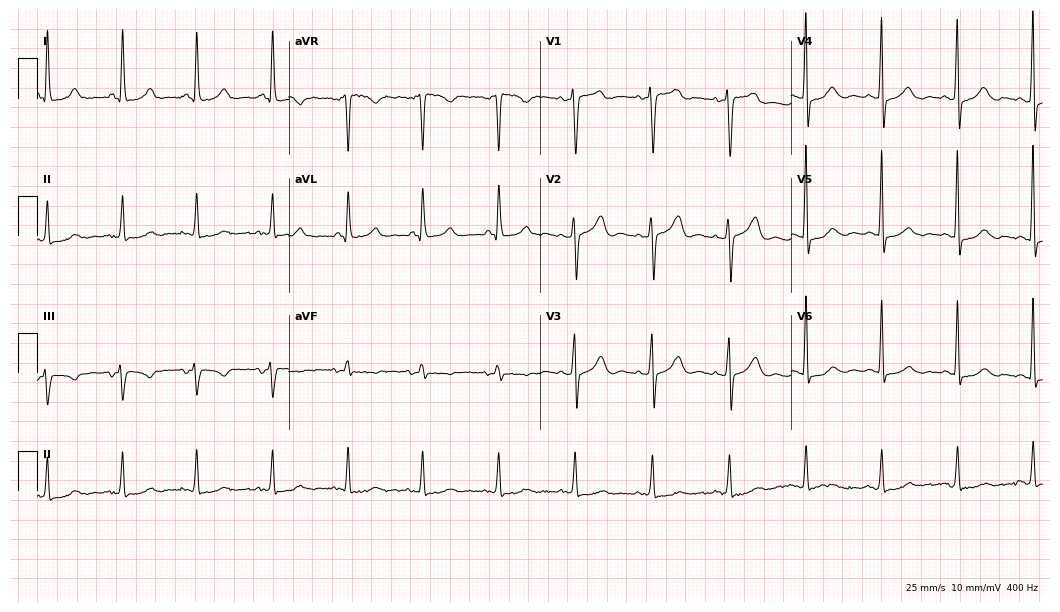
Standard 12-lead ECG recorded from a female, 66 years old. None of these six findings is recorded: first-degree AV block, right bundle branch block (RBBB), left bundle branch block (LBBB), sinus bradycardia, atrial fibrillation (AF), sinus tachycardia.